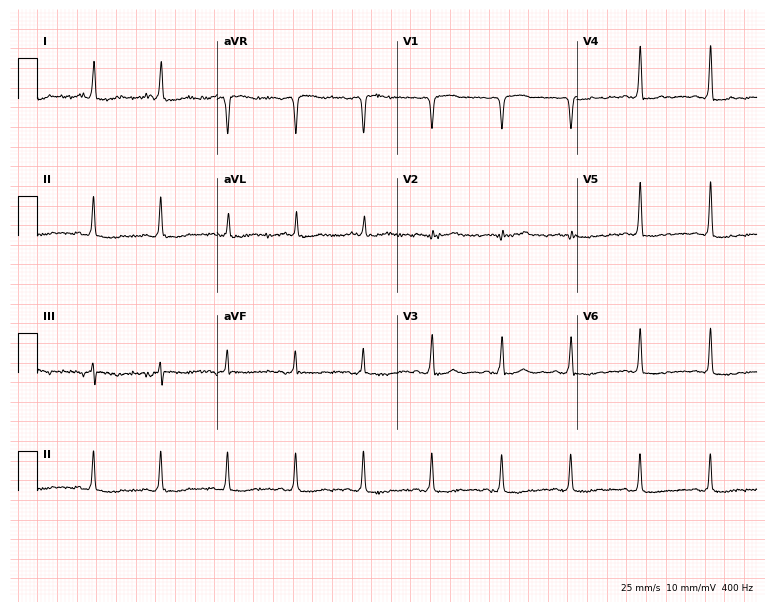
Electrocardiogram (7.3-second recording at 400 Hz), a female, 79 years old. Of the six screened findings (first-degree AV block, right bundle branch block (RBBB), left bundle branch block (LBBB), sinus bradycardia, atrial fibrillation (AF), sinus tachycardia), none is recorded. Other findings, if any, are not listed.